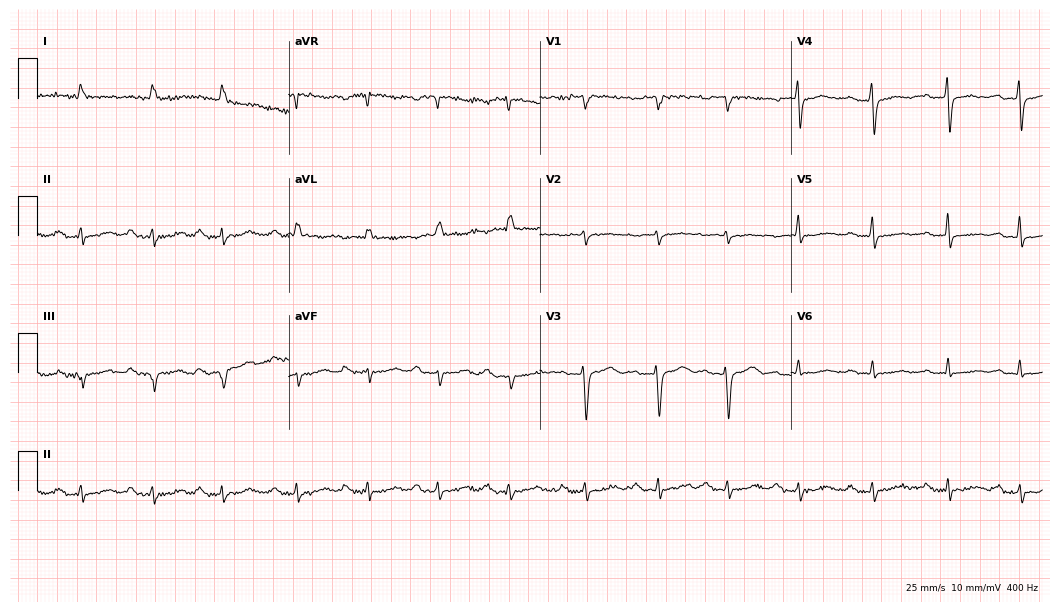
Resting 12-lead electrocardiogram (10.2-second recording at 400 Hz). Patient: a female, 70 years old. The tracing shows first-degree AV block.